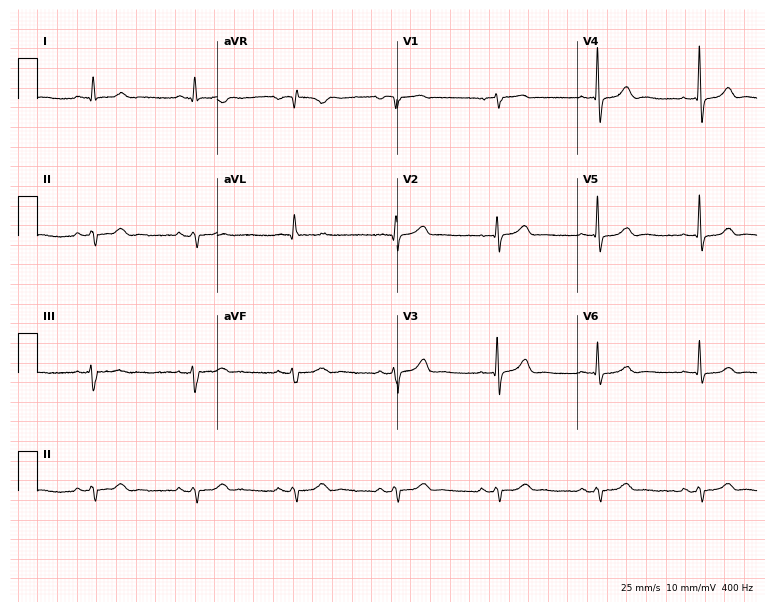
Electrocardiogram, a 75-year-old male patient. Of the six screened findings (first-degree AV block, right bundle branch block, left bundle branch block, sinus bradycardia, atrial fibrillation, sinus tachycardia), none is recorded. Findings outside these six are not listed.